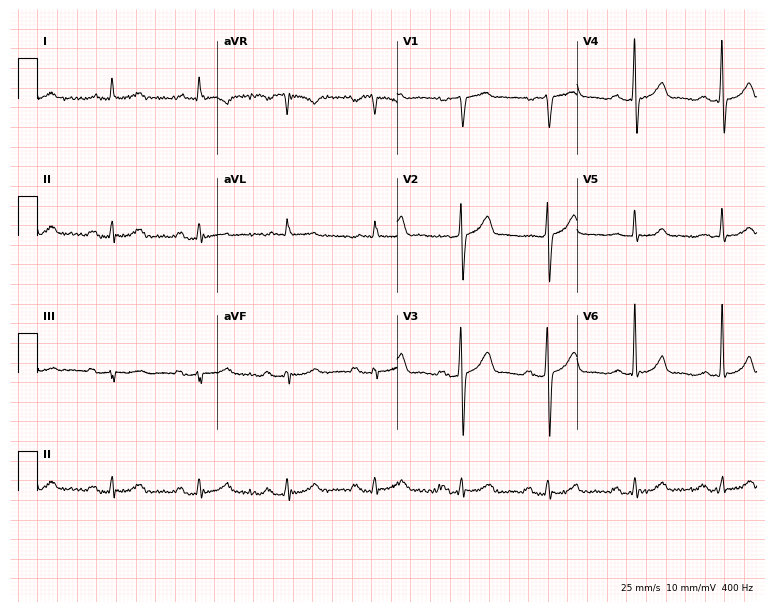
12-lead ECG from a 74-year-old man. Labelled as a normal ECG.